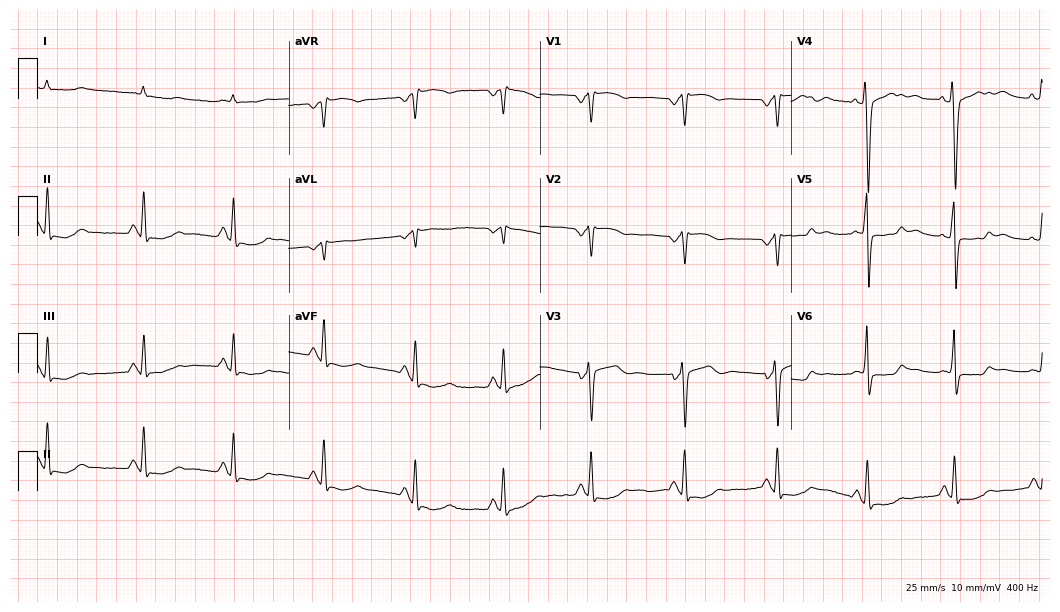
12-lead ECG (10.2-second recording at 400 Hz) from a male, 70 years old. Screened for six findings — first-degree AV block, right bundle branch block (RBBB), left bundle branch block (LBBB), sinus bradycardia, atrial fibrillation (AF), sinus tachycardia — none is recorded.